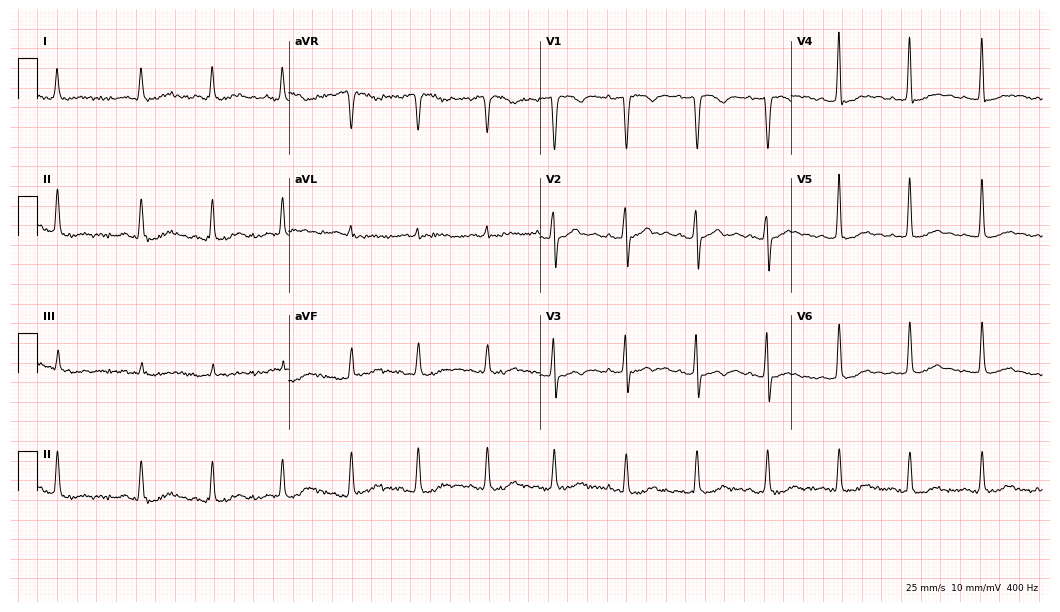
Standard 12-lead ECG recorded from an 83-year-old woman. None of these six findings is recorded: first-degree AV block, right bundle branch block (RBBB), left bundle branch block (LBBB), sinus bradycardia, atrial fibrillation (AF), sinus tachycardia. Only these six findings were labelled.